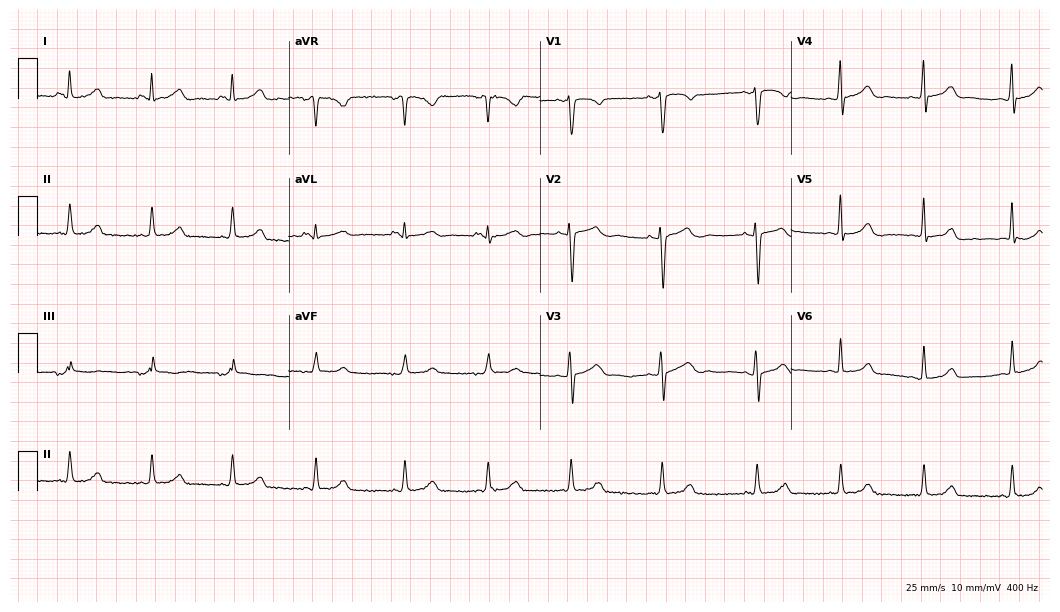
Standard 12-lead ECG recorded from a 28-year-old female patient. Read as a normal ECG.